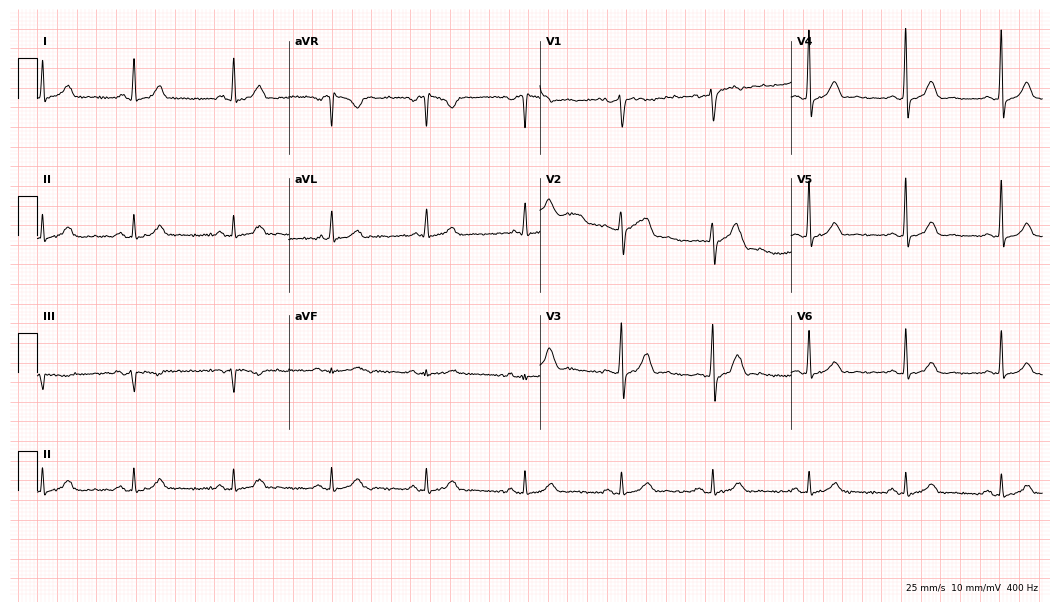
12-lead ECG (10.2-second recording at 400 Hz) from a female, 46 years old. Screened for six findings — first-degree AV block, right bundle branch block, left bundle branch block, sinus bradycardia, atrial fibrillation, sinus tachycardia — none is recorded.